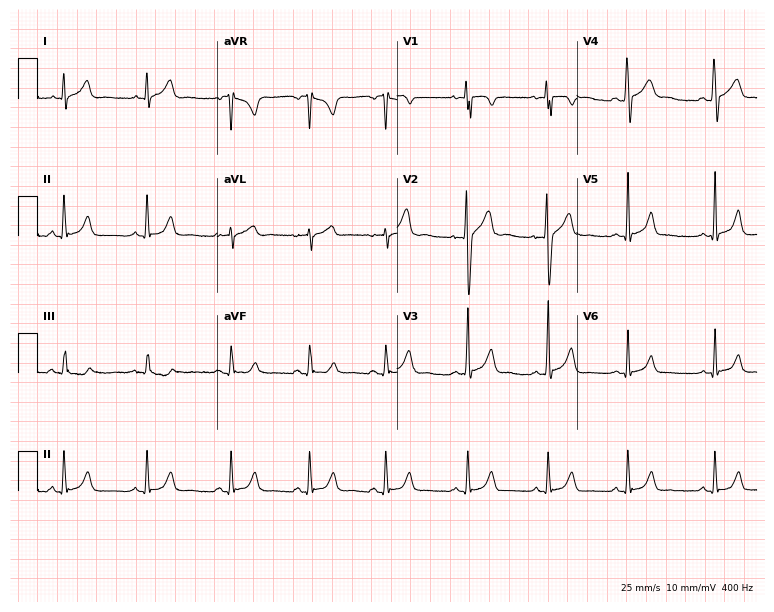
Resting 12-lead electrocardiogram (7.3-second recording at 400 Hz). Patient: a male, 19 years old. Read as a normal ECG.